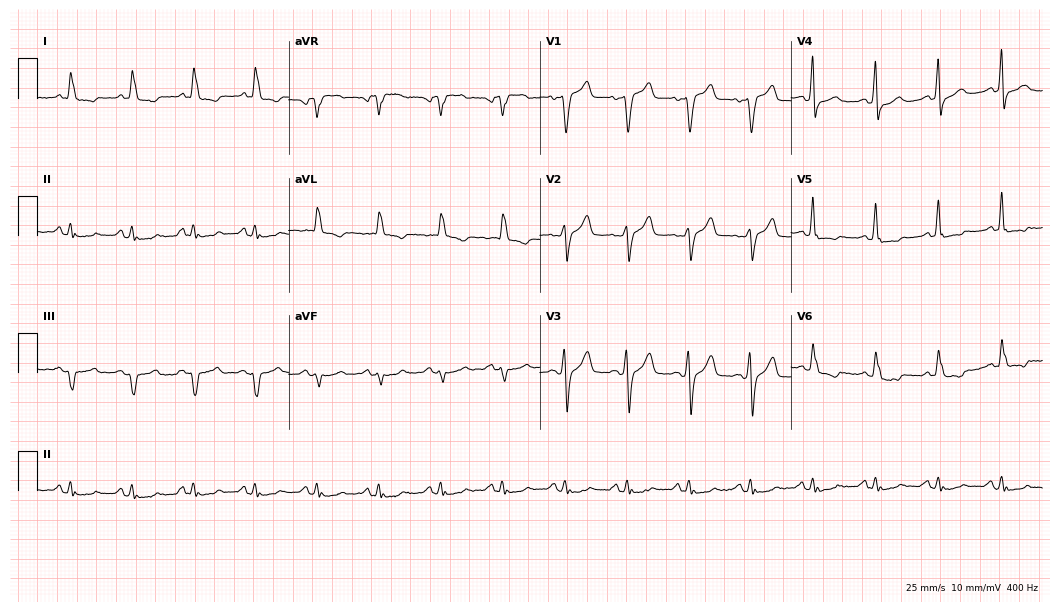
12-lead ECG from a male patient, 61 years old. Screened for six findings — first-degree AV block, right bundle branch block, left bundle branch block, sinus bradycardia, atrial fibrillation, sinus tachycardia — none is recorded. Only these six findings were labelled.